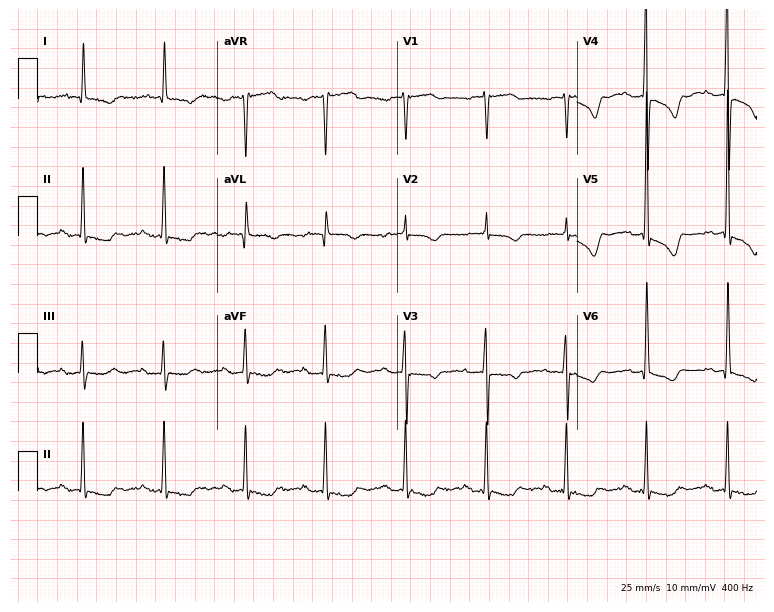
Resting 12-lead electrocardiogram (7.3-second recording at 400 Hz). Patient: a female, 83 years old. None of these six findings is recorded: first-degree AV block, right bundle branch block (RBBB), left bundle branch block (LBBB), sinus bradycardia, atrial fibrillation (AF), sinus tachycardia. Other findings, if any, are not listed.